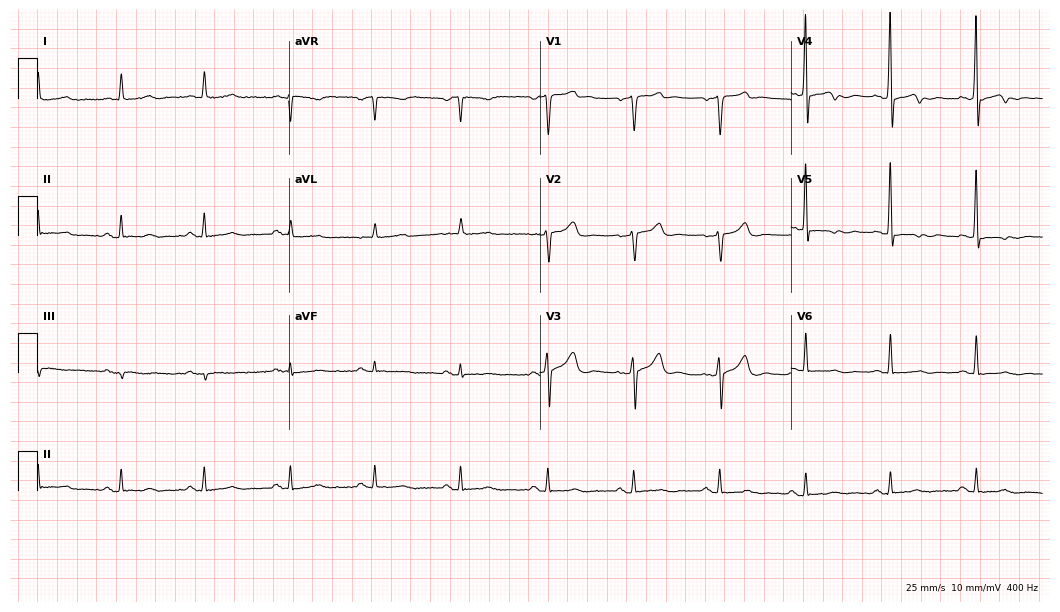
ECG (10.2-second recording at 400 Hz) — a 58-year-old man. Screened for six findings — first-degree AV block, right bundle branch block, left bundle branch block, sinus bradycardia, atrial fibrillation, sinus tachycardia — none is recorded. Other findings, if any, are not listed.